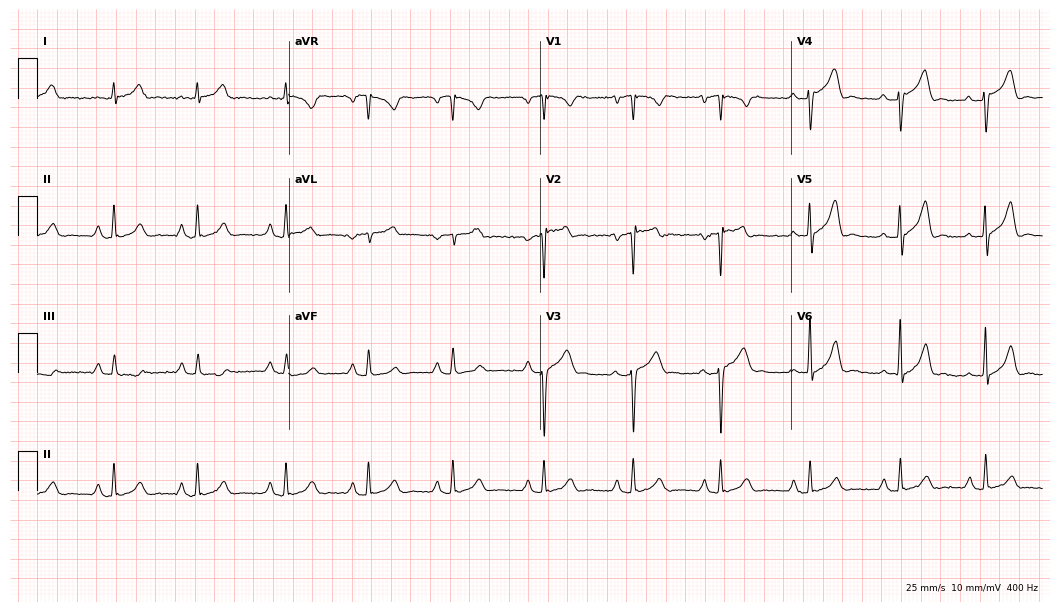
Standard 12-lead ECG recorded from a man, 23 years old. None of these six findings is recorded: first-degree AV block, right bundle branch block, left bundle branch block, sinus bradycardia, atrial fibrillation, sinus tachycardia. Only these six findings were labelled.